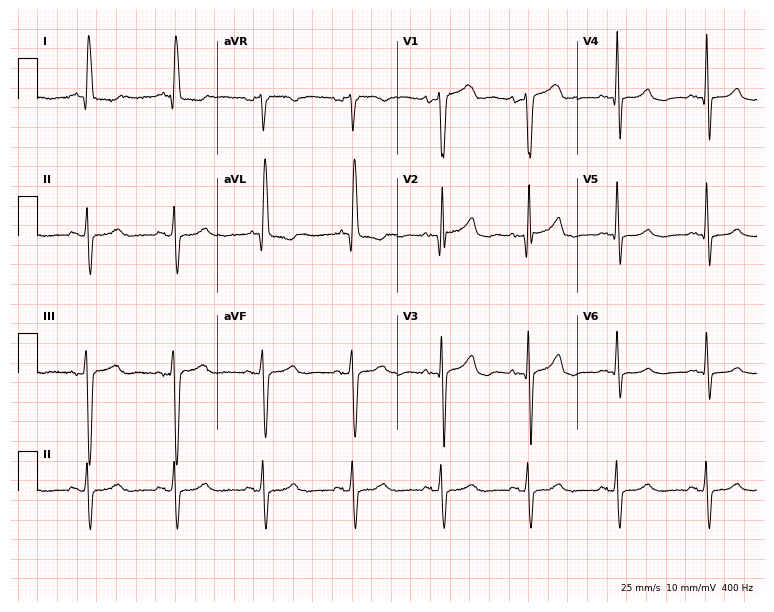
Standard 12-lead ECG recorded from a woman, 83 years old. None of these six findings is recorded: first-degree AV block, right bundle branch block, left bundle branch block, sinus bradycardia, atrial fibrillation, sinus tachycardia.